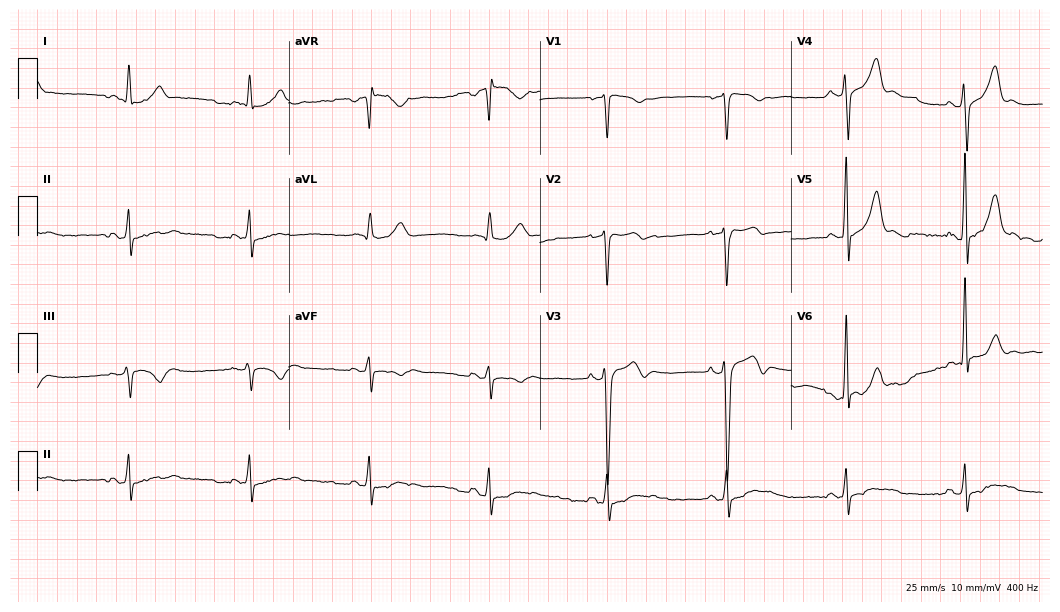
Electrocardiogram, a 60-year-old man. Interpretation includes sinus bradycardia (a sinus rate of 50 beats per minute or less).